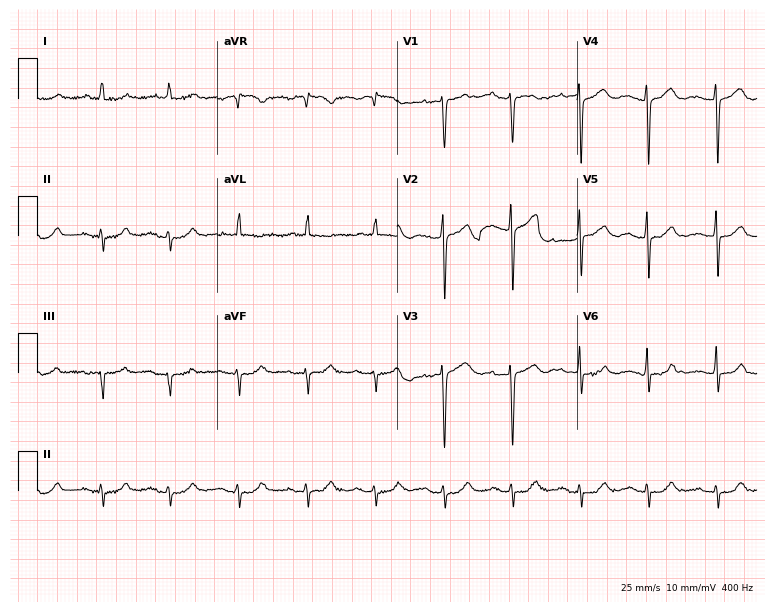
Resting 12-lead electrocardiogram (7.3-second recording at 400 Hz). Patient: a 75-year-old female. None of these six findings is recorded: first-degree AV block, right bundle branch block, left bundle branch block, sinus bradycardia, atrial fibrillation, sinus tachycardia.